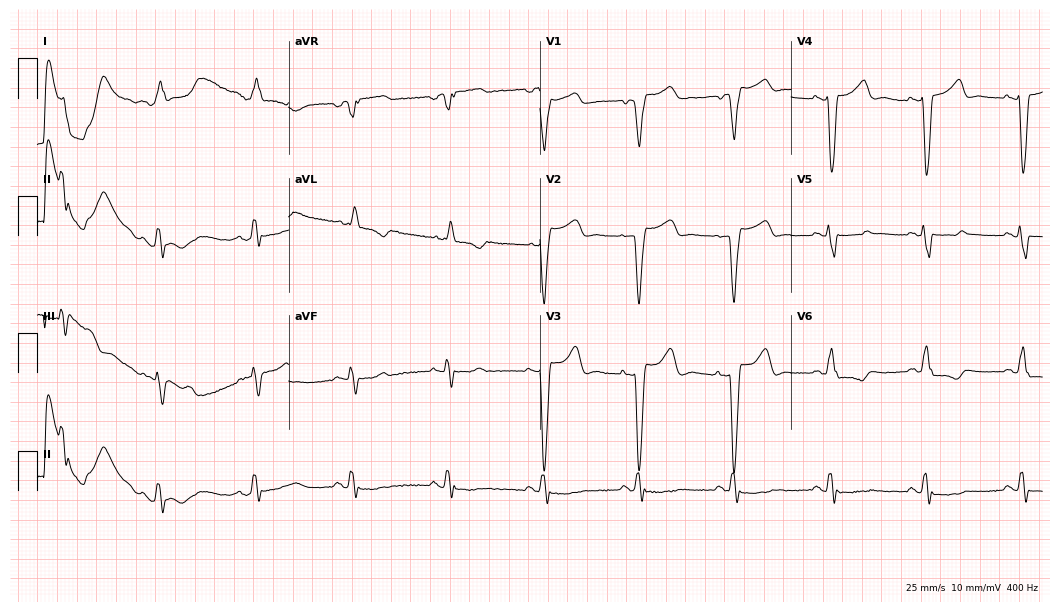
12-lead ECG (10.2-second recording at 400 Hz) from a male patient, 76 years old. Findings include left bundle branch block.